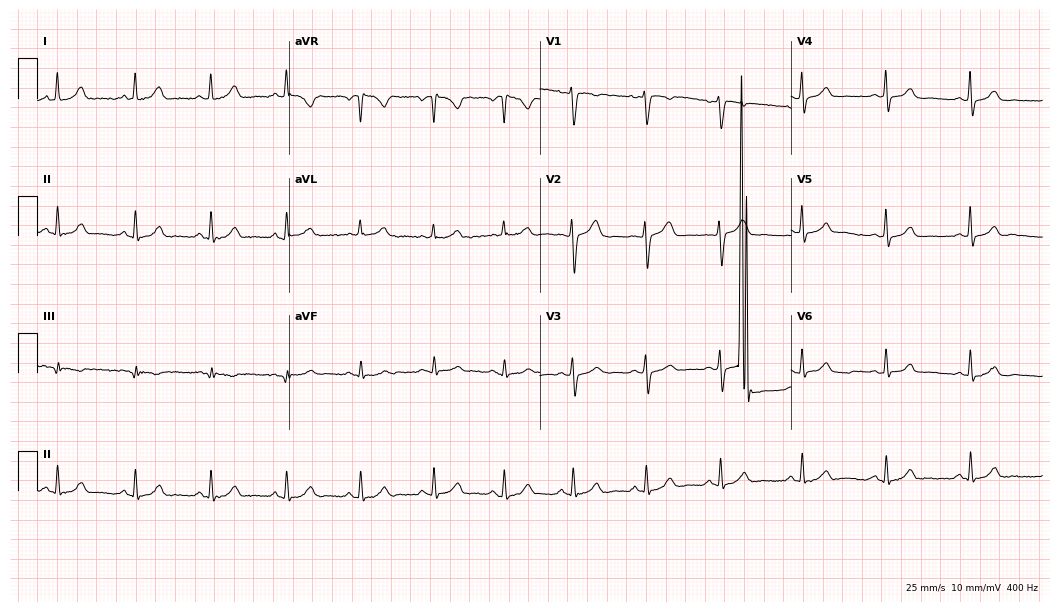
ECG — a female patient, 42 years old. Screened for six findings — first-degree AV block, right bundle branch block, left bundle branch block, sinus bradycardia, atrial fibrillation, sinus tachycardia — none is recorded. Findings outside these six are not listed.